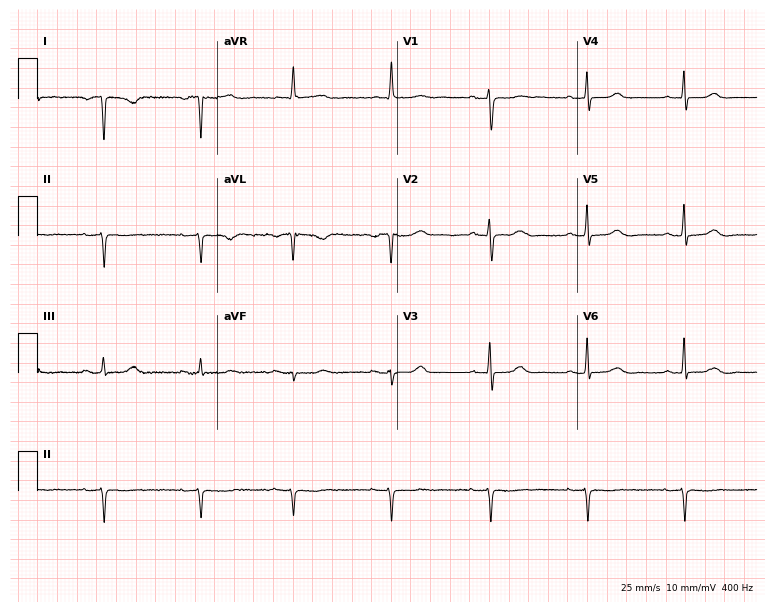
Standard 12-lead ECG recorded from a 65-year-old female patient. None of these six findings is recorded: first-degree AV block, right bundle branch block, left bundle branch block, sinus bradycardia, atrial fibrillation, sinus tachycardia.